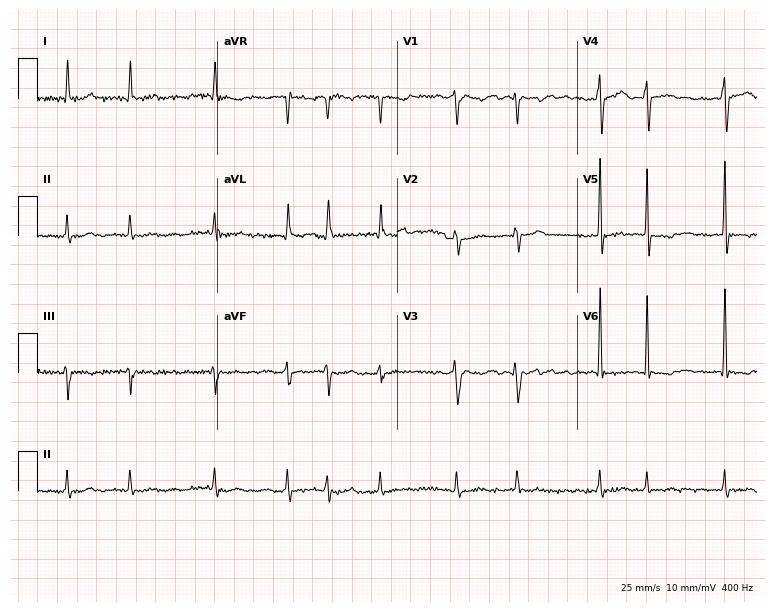
Standard 12-lead ECG recorded from a 67-year-old male patient (7.3-second recording at 400 Hz). The tracing shows atrial fibrillation (AF).